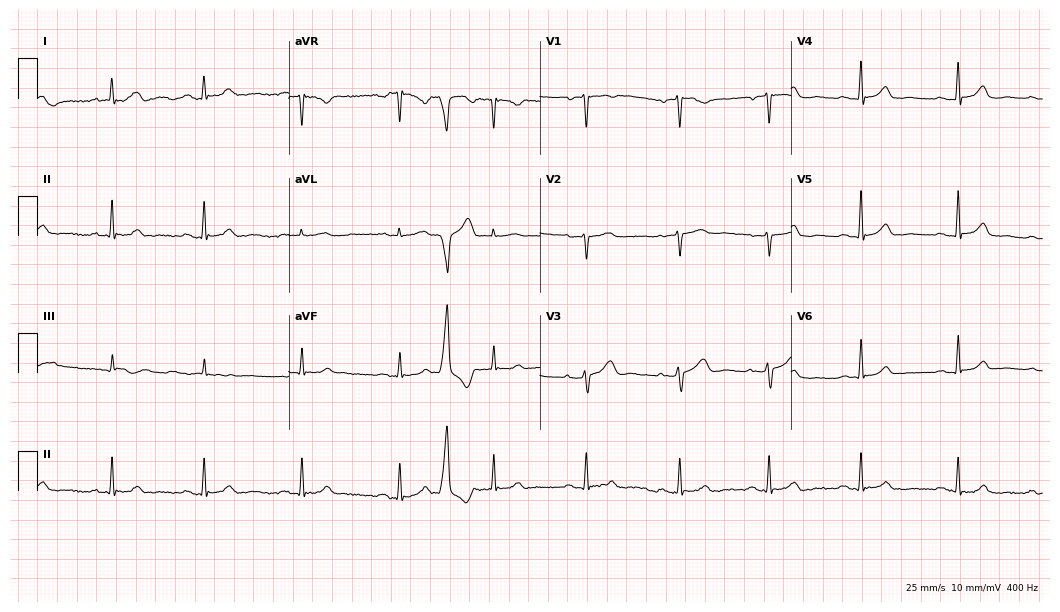
Standard 12-lead ECG recorded from a 51-year-old woman (10.2-second recording at 400 Hz). None of these six findings is recorded: first-degree AV block, right bundle branch block, left bundle branch block, sinus bradycardia, atrial fibrillation, sinus tachycardia. Other findings, if any, are not listed.